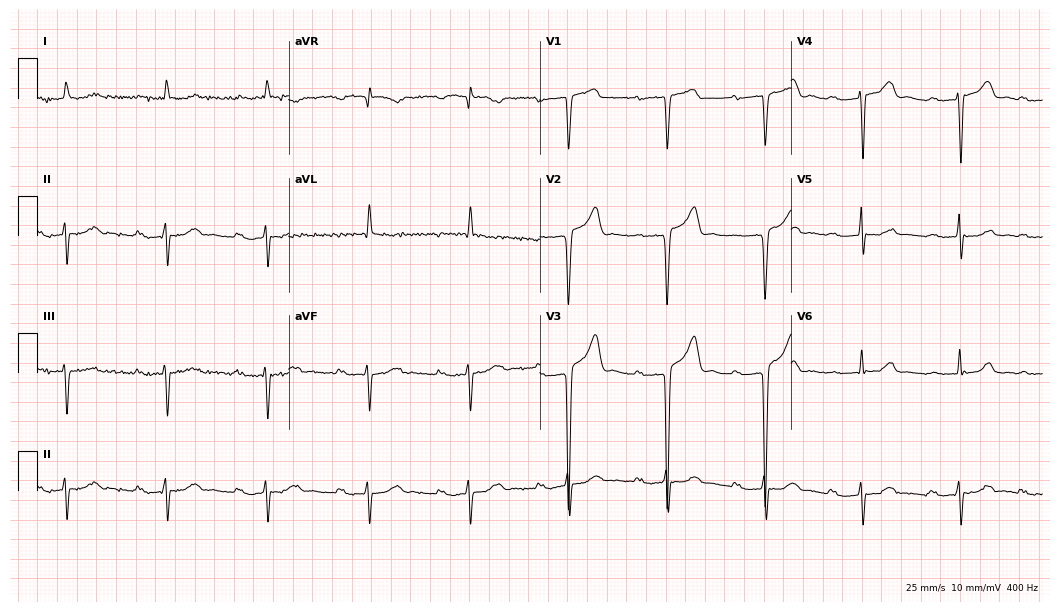
12-lead ECG from a 73-year-old man. Findings include first-degree AV block.